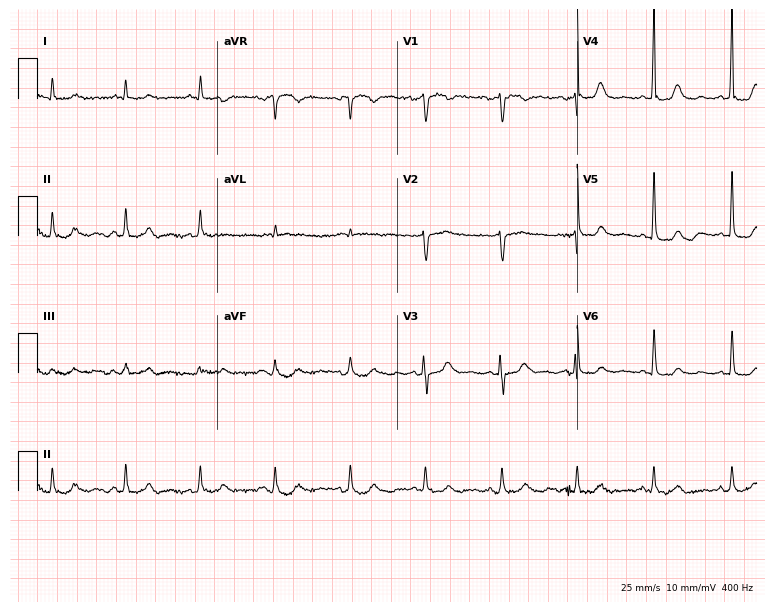
12-lead ECG from a woman, 70 years old (7.3-second recording at 400 Hz). No first-degree AV block, right bundle branch block (RBBB), left bundle branch block (LBBB), sinus bradycardia, atrial fibrillation (AF) or sinus tachycardia recorded for this tracing.